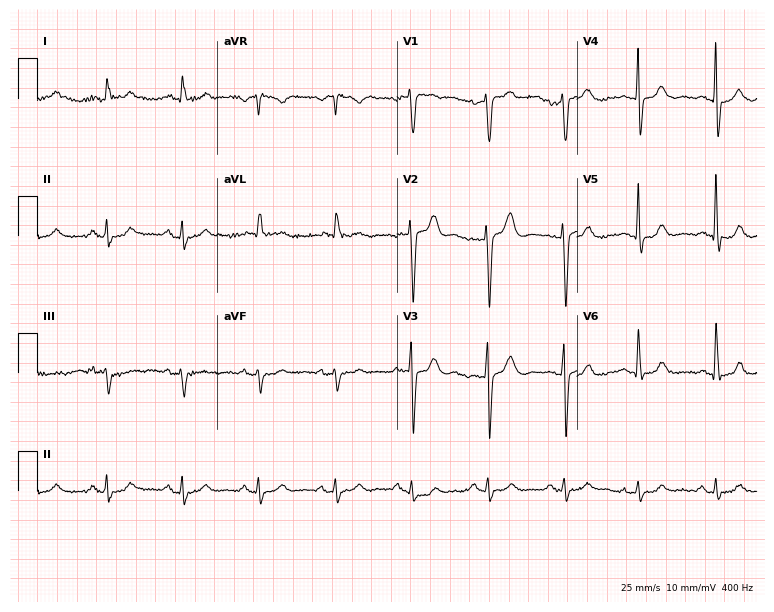
Resting 12-lead electrocardiogram. Patient: a male, 82 years old. None of these six findings is recorded: first-degree AV block, right bundle branch block, left bundle branch block, sinus bradycardia, atrial fibrillation, sinus tachycardia. Only these six findings were labelled.